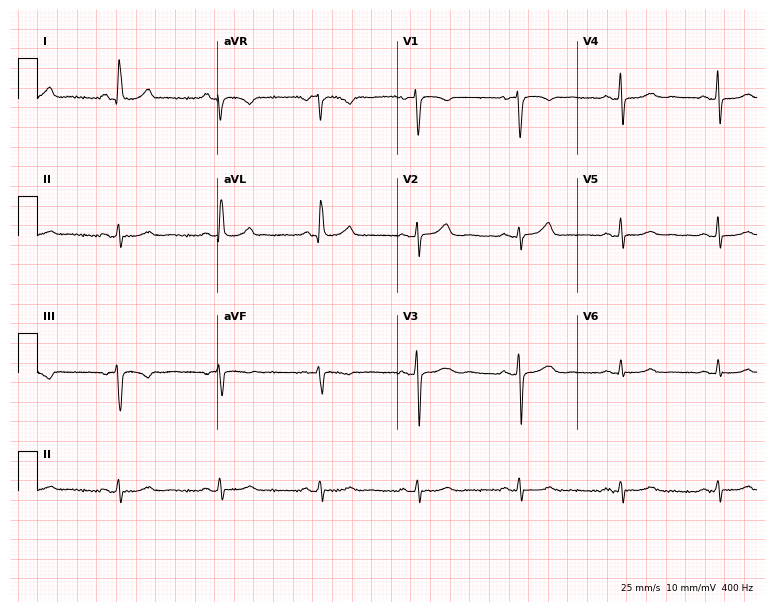
Resting 12-lead electrocardiogram (7.3-second recording at 400 Hz). Patient: a 70-year-old woman. Read as a normal ECG.